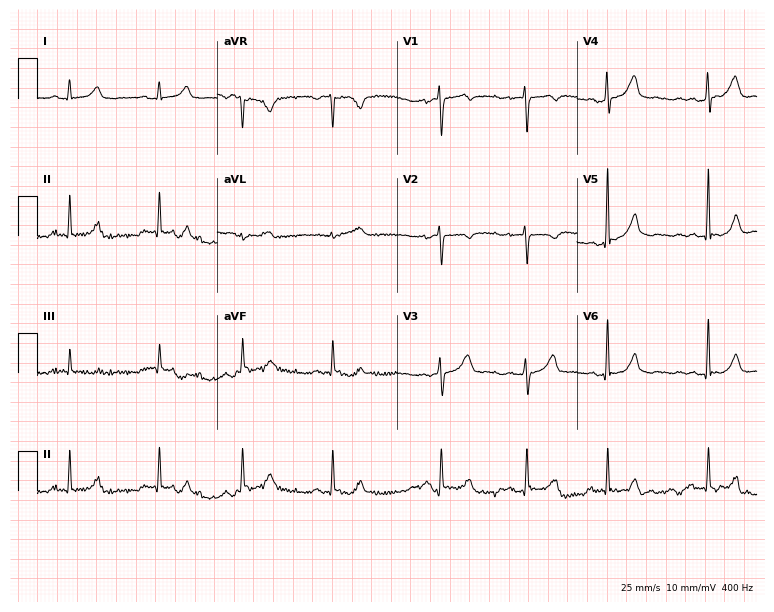
12-lead ECG (7.3-second recording at 400 Hz) from a 33-year-old woman. Labelled as a normal ECG.